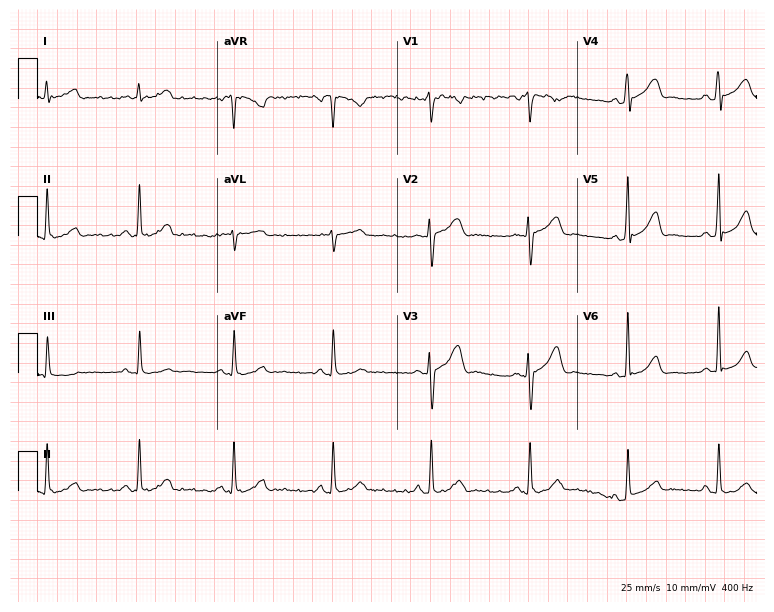
ECG (7.3-second recording at 400 Hz) — a woman, 42 years old. Screened for six findings — first-degree AV block, right bundle branch block, left bundle branch block, sinus bradycardia, atrial fibrillation, sinus tachycardia — none is recorded.